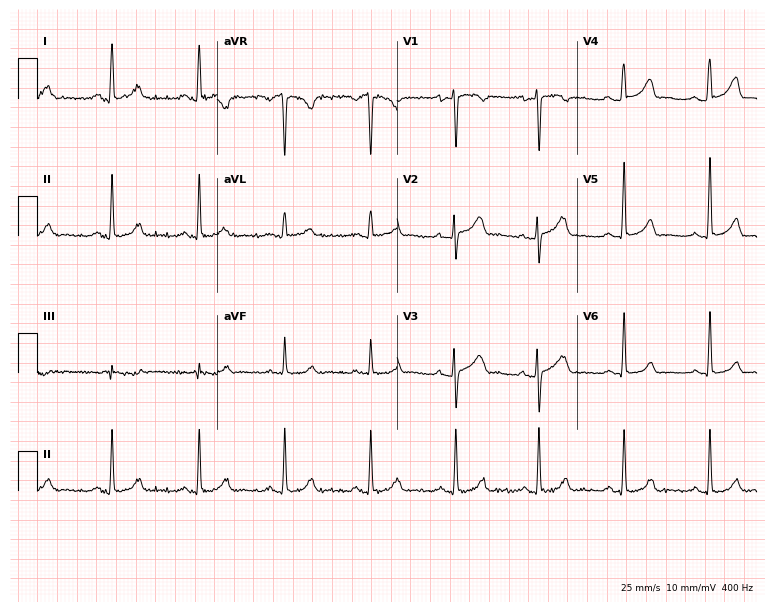
Electrocardiogram (7.3-second recording at 400 Hz), a 30-year-old woman. Overall reading on record: normal ECG.